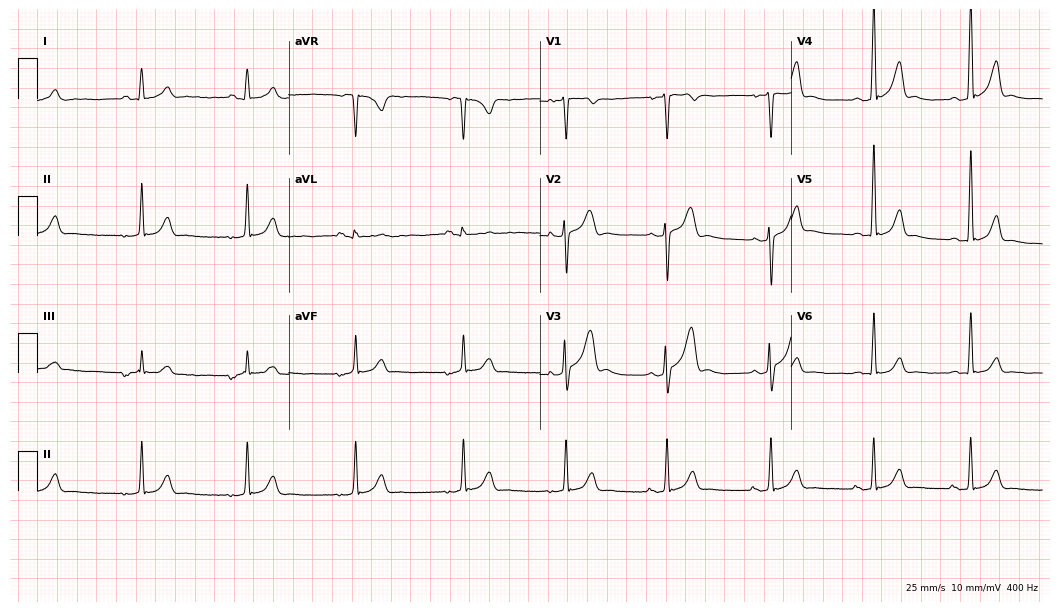
ECG — a male patient, 22 years old. Screened for six findings — first-degree AV block, right bundle branch block, left bundle branch block, sinus bradycardia, atrial fibrillation, sinus tachycardia — none is recorded. Other findings, if any, are not listed.